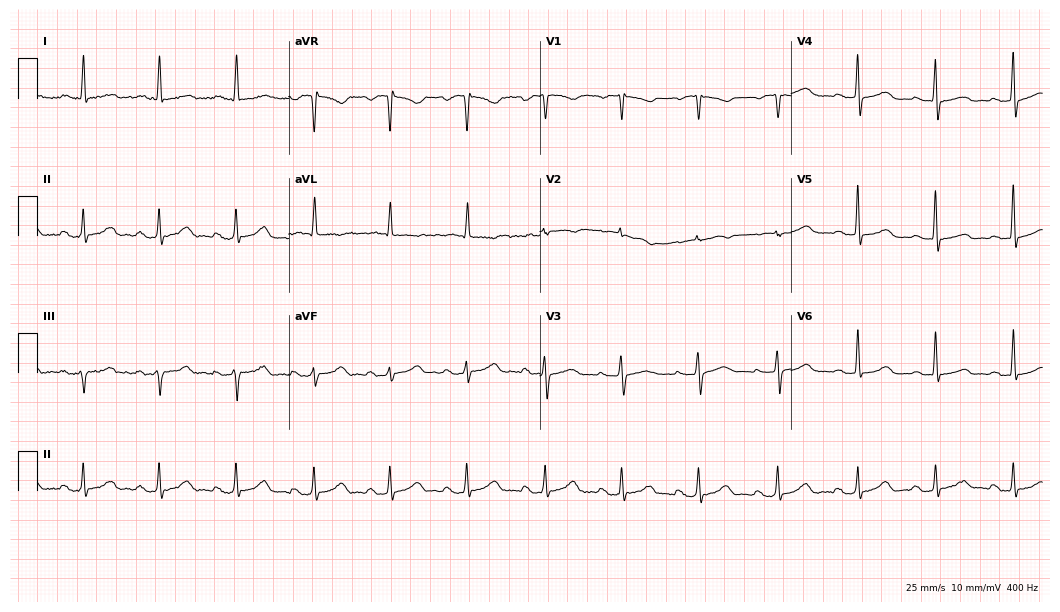
12-lead ECG from a 68-year-old female patient (10.2-second recording at 400 Hz). No first-degree AV block, right bundle branch block, left bundle branch block, sinus bradycardia, atrial fibrillation or sinus tachycardia recorded for this tracing.